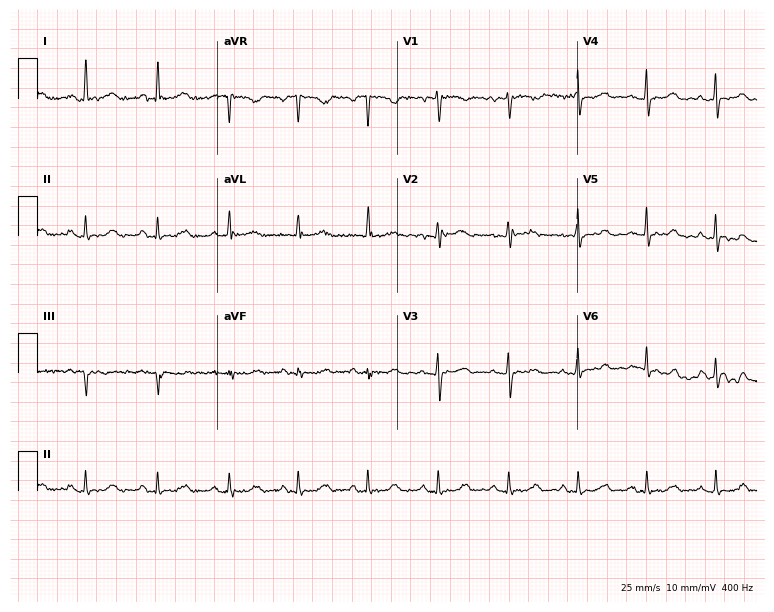
Standard 12-lead ECG recorded from a female, 46 years old (7.3-second recording at 400 Hz). Read as a normal ECG.